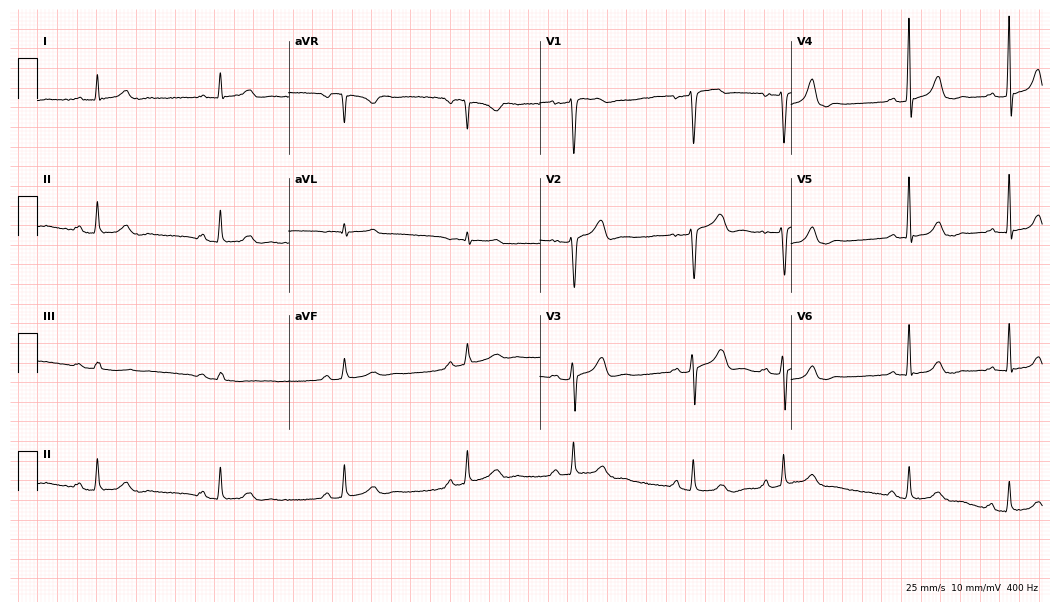
ECG — a woman, 46 years old. Labelled as a normal ECG.